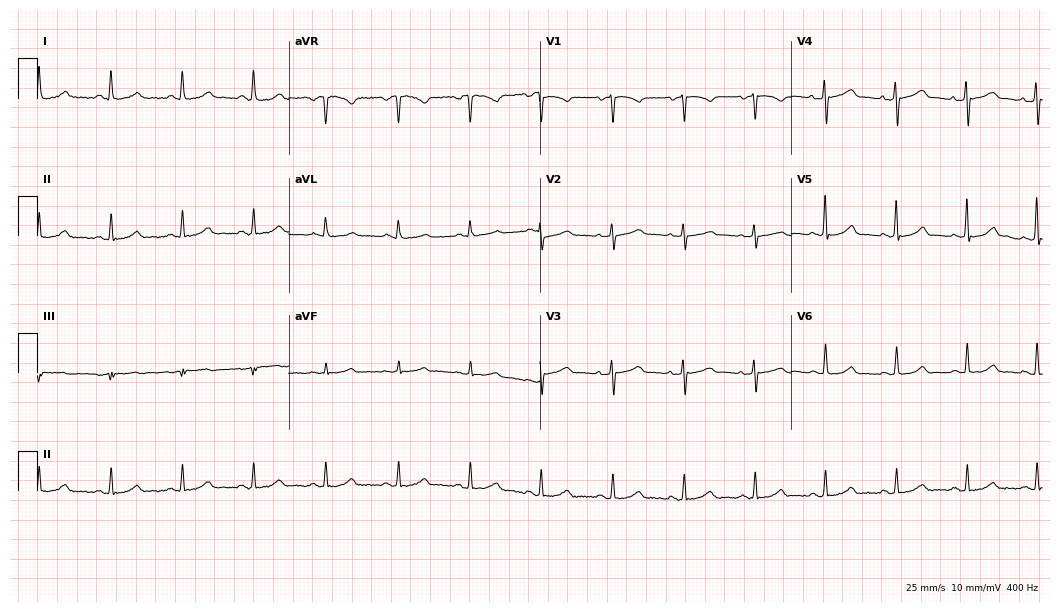
Electrocardiogram, a 47-year-old woman. Overall reading on record: normal ECG.